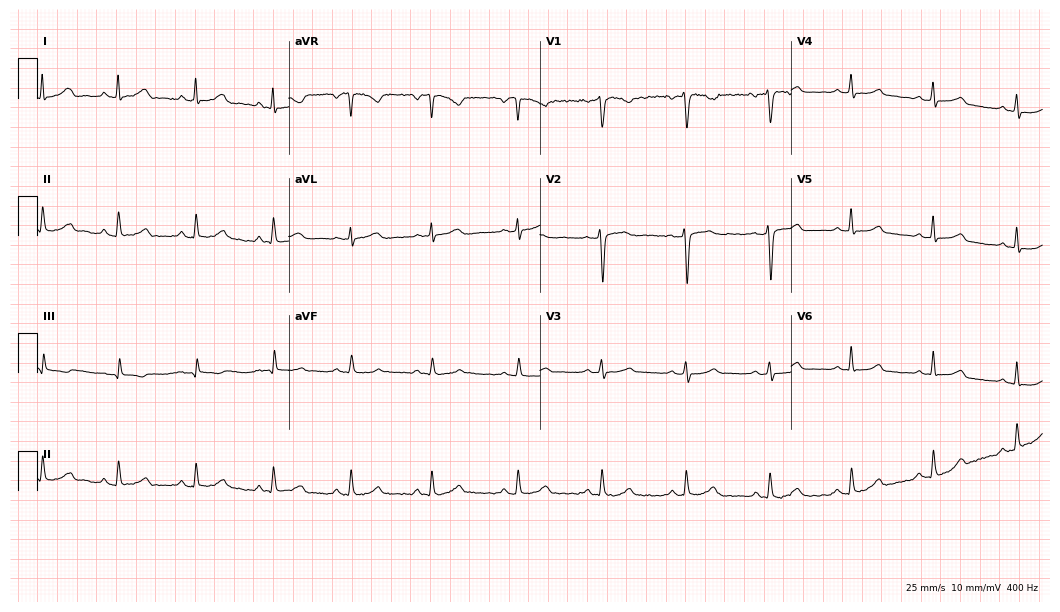
ECG (10.2-second recording at 400 Hz) — a female patient, 45 years old. Labelled as a normal ECG.